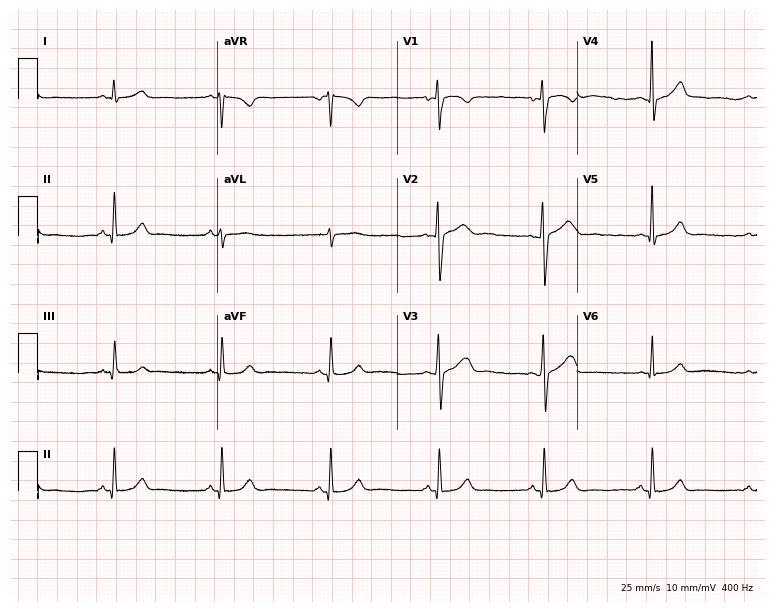
ECG — a 37-year-old male patient. Labelled as a normal ECG.